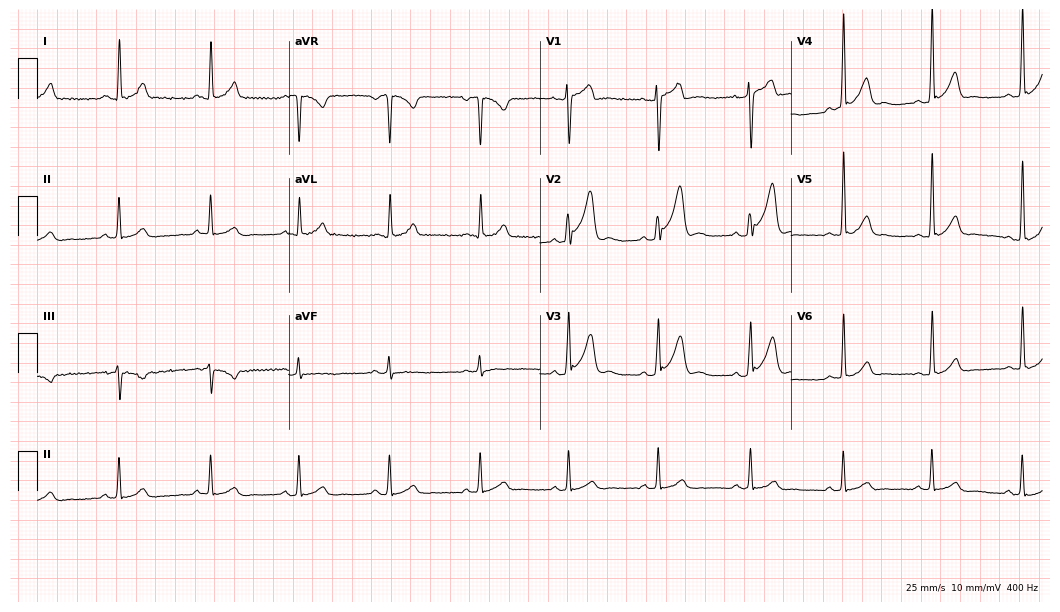
Standard 12-lead ECG recorded from a 30-year-old man. None of these six findings is recorded: first-degree AV block, right bundle branch block (RBBB), left bundle branch block (LBBB), sinus bradycardia, atrial fibrillation (AF), sinus tachycardia. Other findings, if any, are not listed.